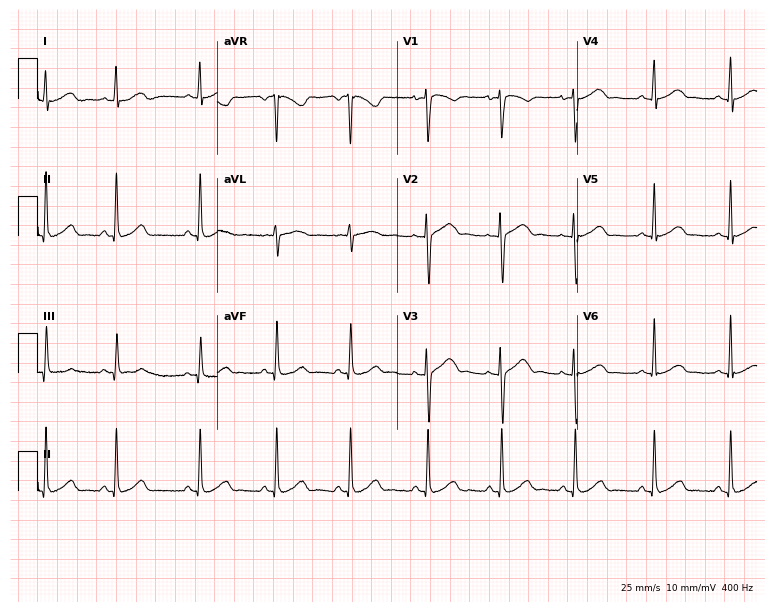
Standard 12-lead ECG recorded from a 31-year-old woman (7.3-second recording at 400 Hz). Read as a normal ECG.